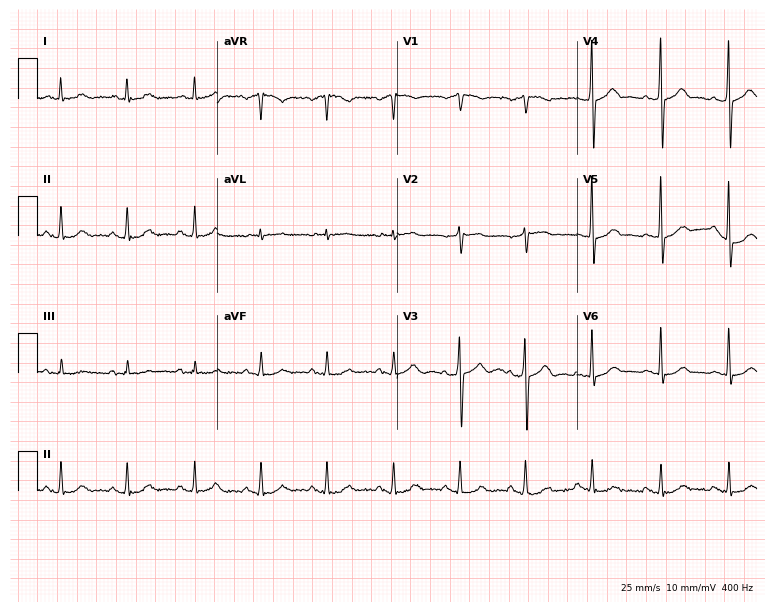
12-lead ECG from a male patient, 72 years old (7.3-second recording at 400 Hz). Recorded interpretation: within normal limits.